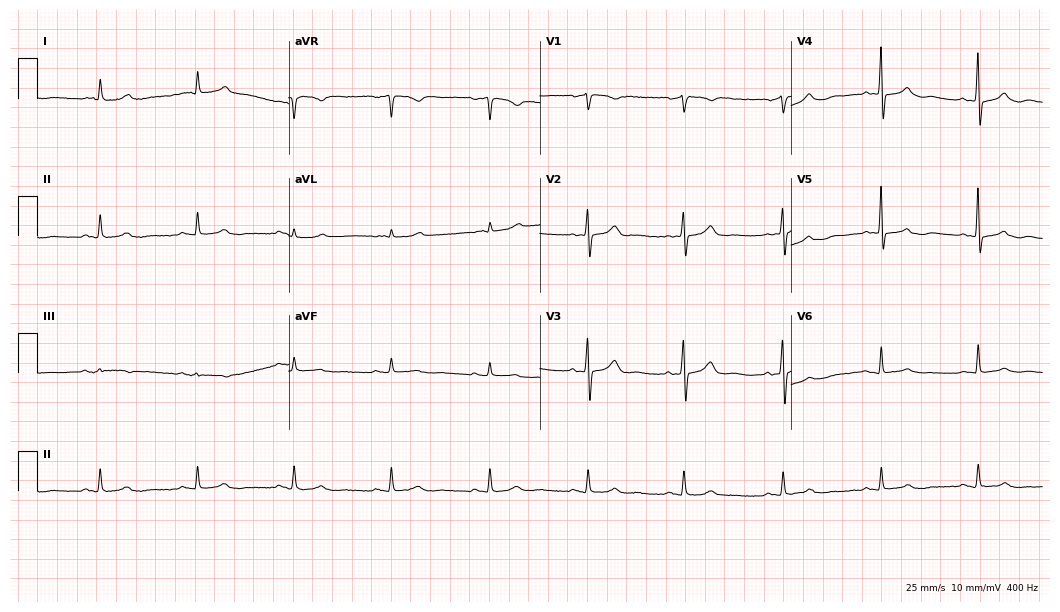
Resting 12-lead electrocardiogram. Patient: a female, 83 years old. None of these six findings is recorded: first-degree AV block, right bundle branch block, left bundle branch block, sinus bradycardia, atrial fibrillation, sinus tachycardia. Other findings, if any, are not listed.